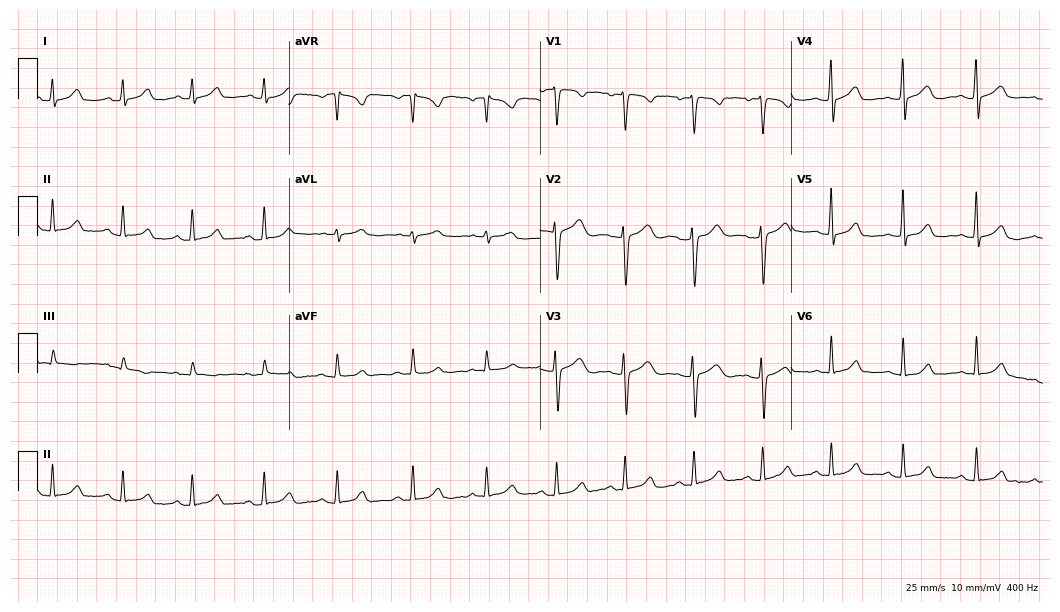
12-lead ECG (10.2-second recording at 400 Hz) from a 31-year-old female patient. Labelled as a normal ECG.